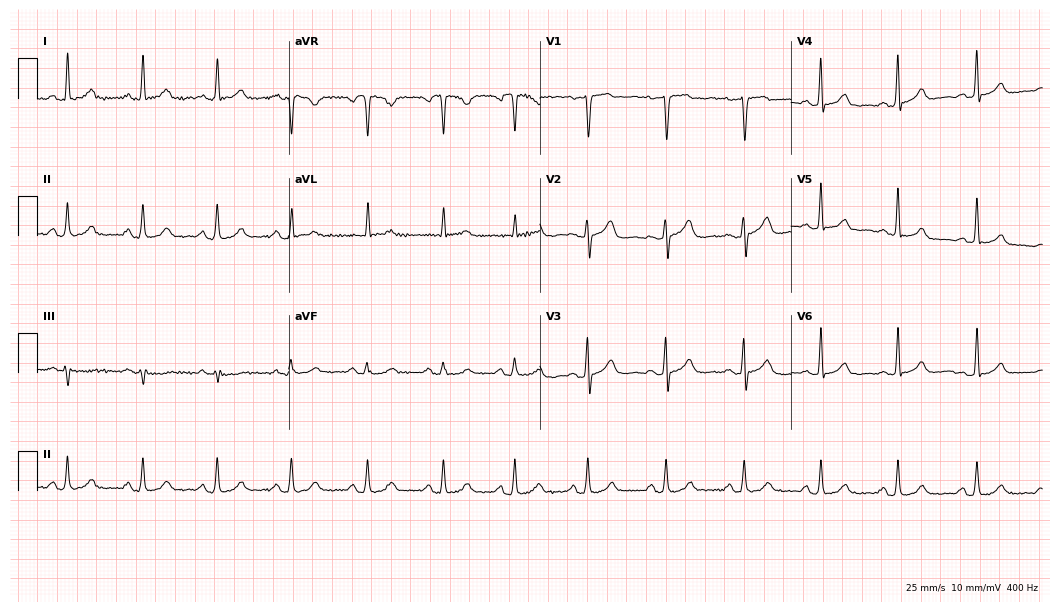
Resting 12-lead electrocardiogram (10.2-second recording at 400 Hz). Patient: a 34-year-old female. Read as a normal ECG.